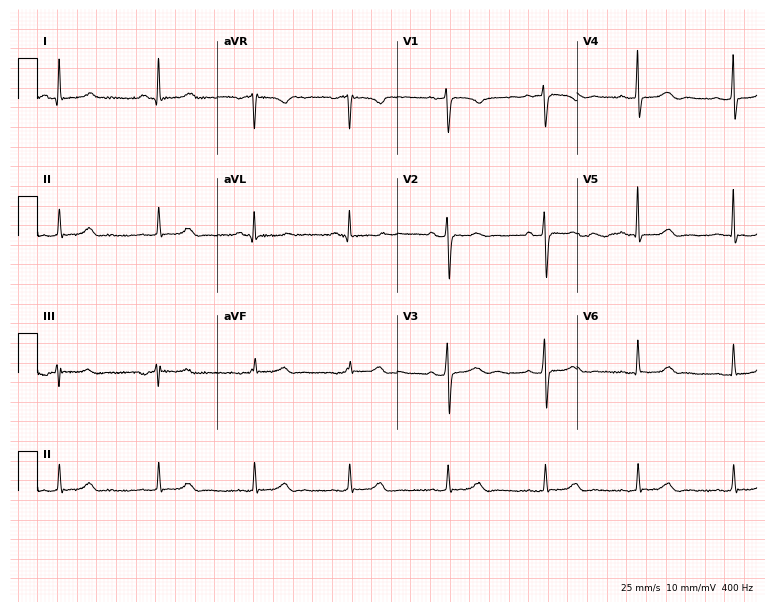
Standard 12-lead ECG recorded from a female patient, 44 years old (7.3-second recording at 400 Hz). Read as a normal ECG.